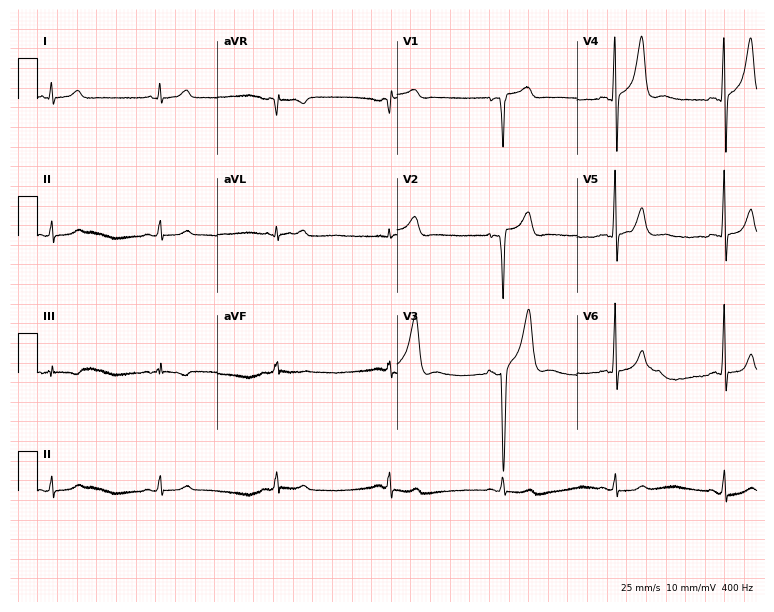
12-lead ECG from a male, 45 years old. No first-degree AV block, right bundle branch block (RBBB), left bundle branch block (LBBB), sinus bradycardia, atrial fibrillation (AF) or sinus tachycardia recorded for this tracing.